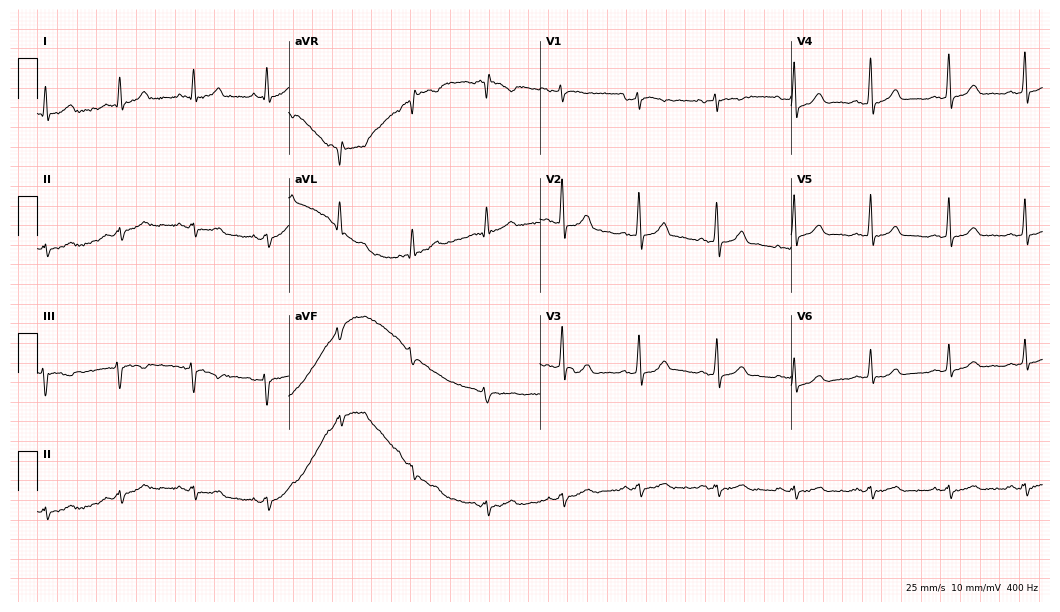
Resting 12-lead electrocardiogram. Patient: a male, 48 years old. None of these six findings is recorded: first-degree AV block, right bundle branch block, left bundle branch block, sinus bradycardia, atrial fibrillation, sinus tachycardia.